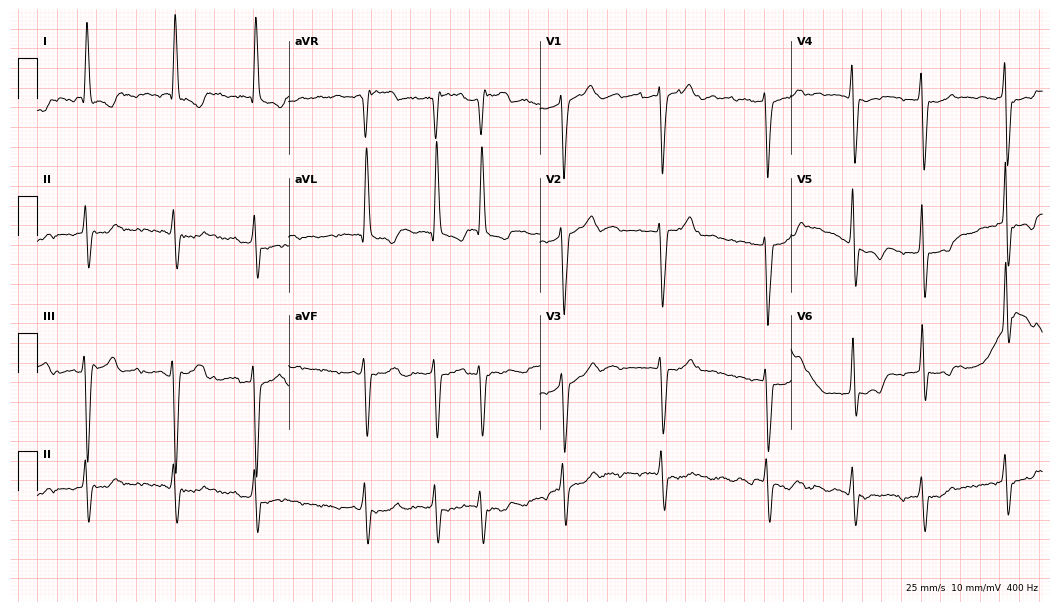
ECG — a 77-year-old female patient. Findings include left bundle branch block, atrial fibrillation.